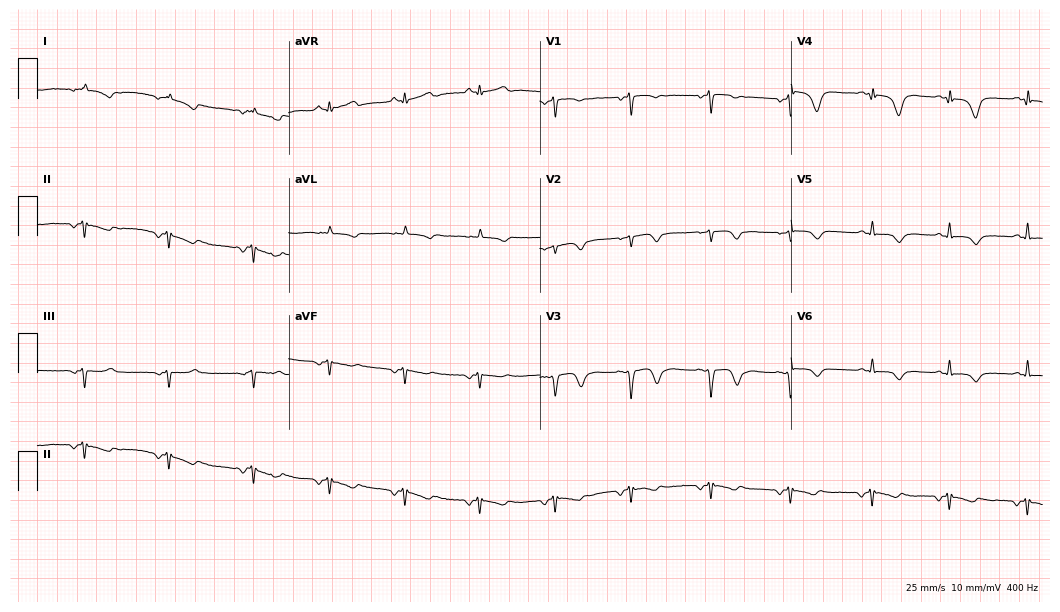
Standard 12-lead ECG recorded from a 38-year-old female patient. None of these six findings is recorded: first-degree AV block, right bundle branch block, left bundle branch block, sinus bradycardia, atrial fibrillation, sinus tachycardia.